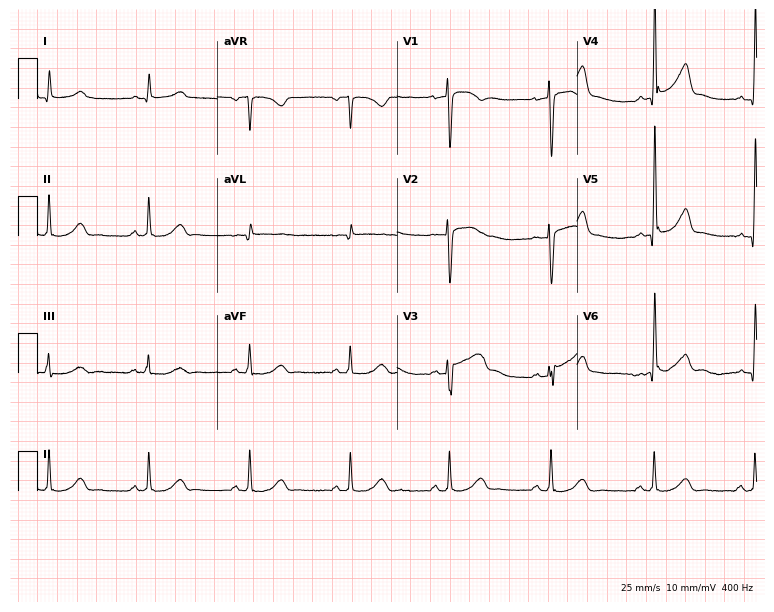
Standard 12-lead ECG recorded from a man, 50 years old (7.3-second recording at 400 Hz). None of these six findings is recorded: first-degree AV block, right bundle branch block (RBBB), left bundle branch block (LBBB), sinus bradycardia, atrial fibrillation (AF), sinus tachycardia. Other findings, if any, are not listed.